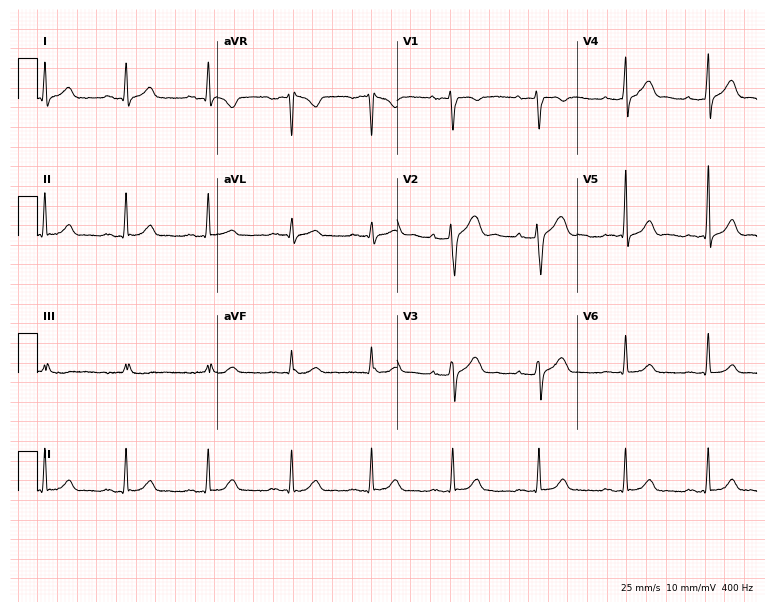
Standard 12-lead ECG recorded from a male patient, 29 years old (7.3-second recording at 400 Hz). Read as a normal ECG.